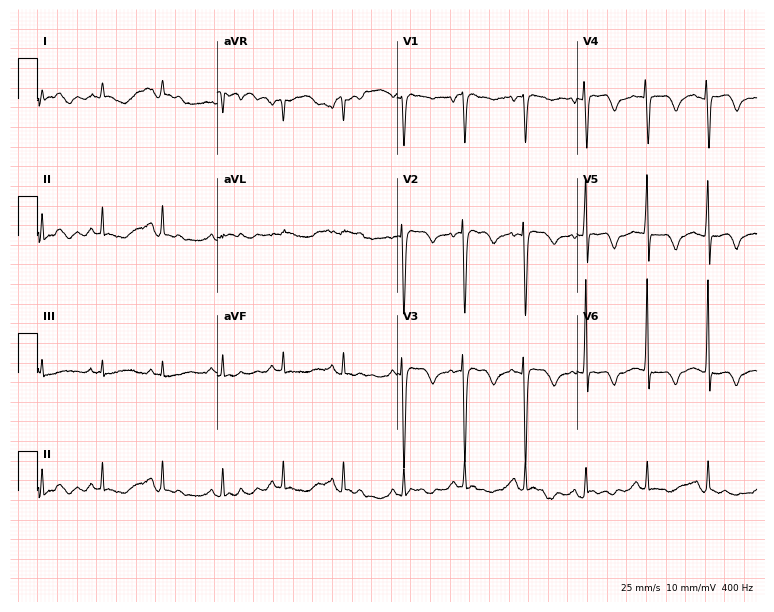
Standard 12-lead ECG recorded from a 75-year-old female (7.3-second recording at 400 Hz). None of these six findings is recorded: first-degree AV block, right bundle branch block (RBBB), left bundle branch block (LBBB), sinus bradycardia, atrial fibrillation (AF), sinus tachycardia.